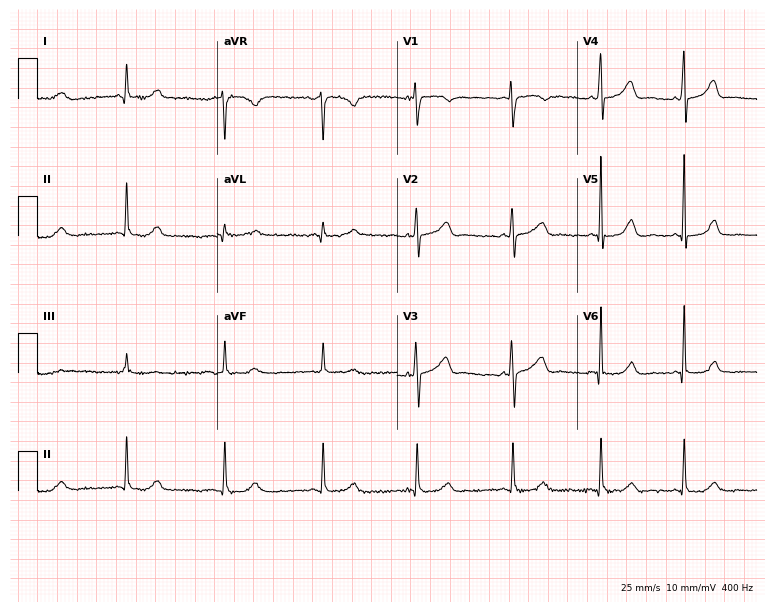
Electrocardiogram, a female patient, 49 years old. Of the six screened findings (first-degree AV block, right bundle branch block, left bundle branch block, sinus bradycardia, atrial fibrillation, sinus tachycardia), none is recorded. Findings outside these six are not listed.